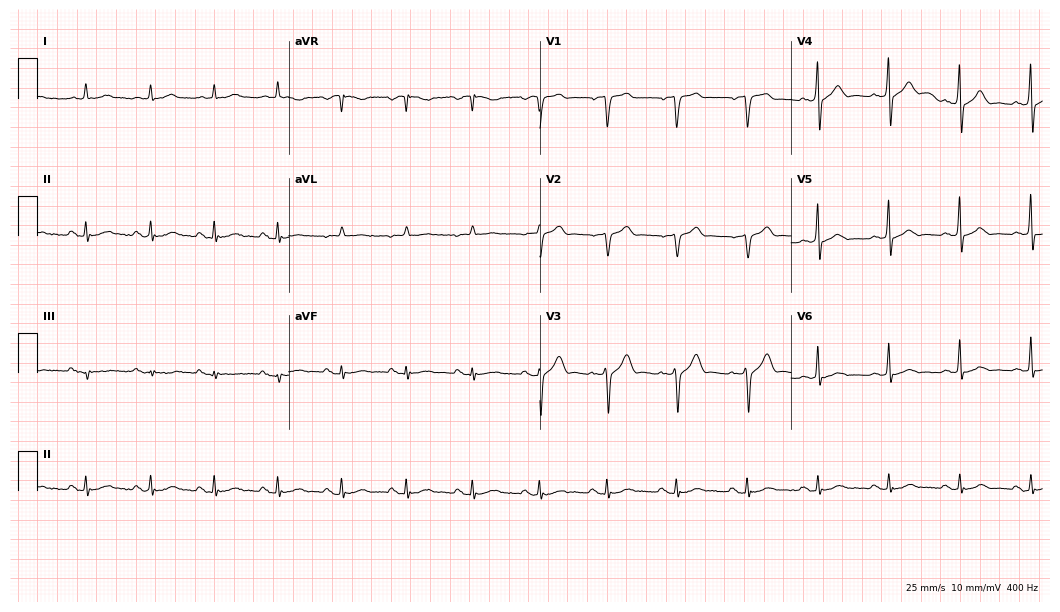
Resting 12-lead electrocardiogram. Patient: a 76-year-old man. Read as a normal ECG.